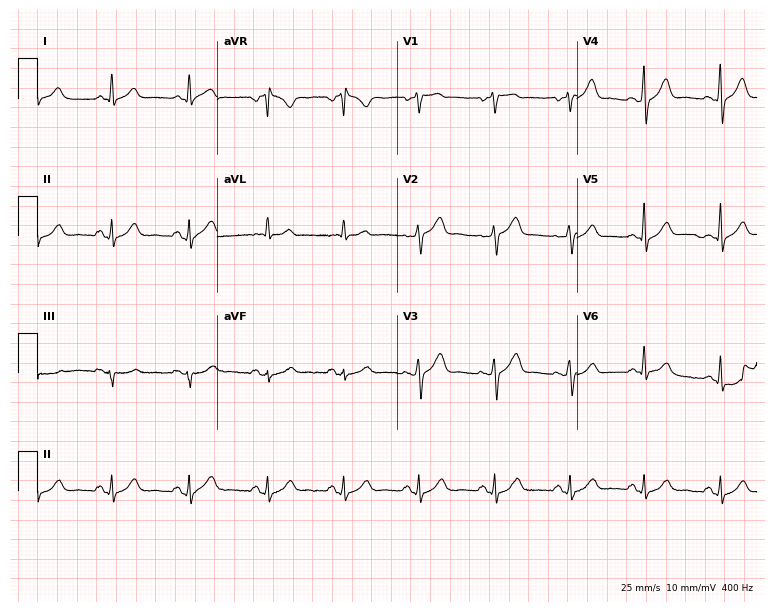
Resting 12-lead electrocardiogram (7.3-second recording at 400 Hz). Patient: a female, 56 years old. None of these six findings is recorded: first-degree AV block, right bundle branch block, left bundle branch block, sinus bradycardia, atrial fibrillation, sinus tachycardia. Only these six findings were labelled.